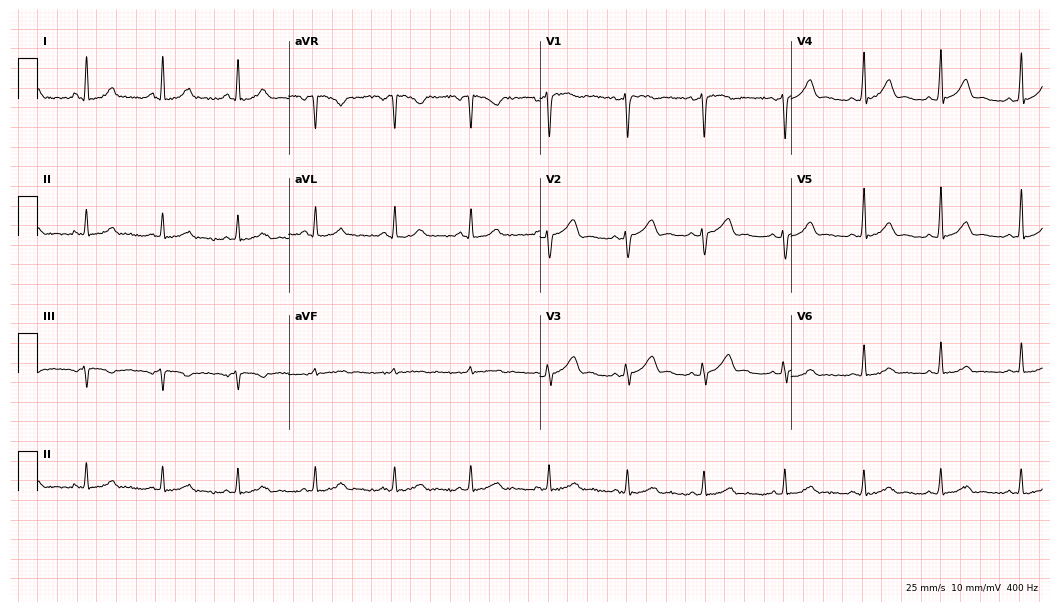
12-lead ECG from a 35-year-old woman. Screened for six findings — first-degree AV block, right bundle branch block (RBBB), left bundle branch block (LBBB), sinus bradycardia, atrial fibrillation (AF), sinus tachycardia — none is recorded. Only these six findings were labelled.